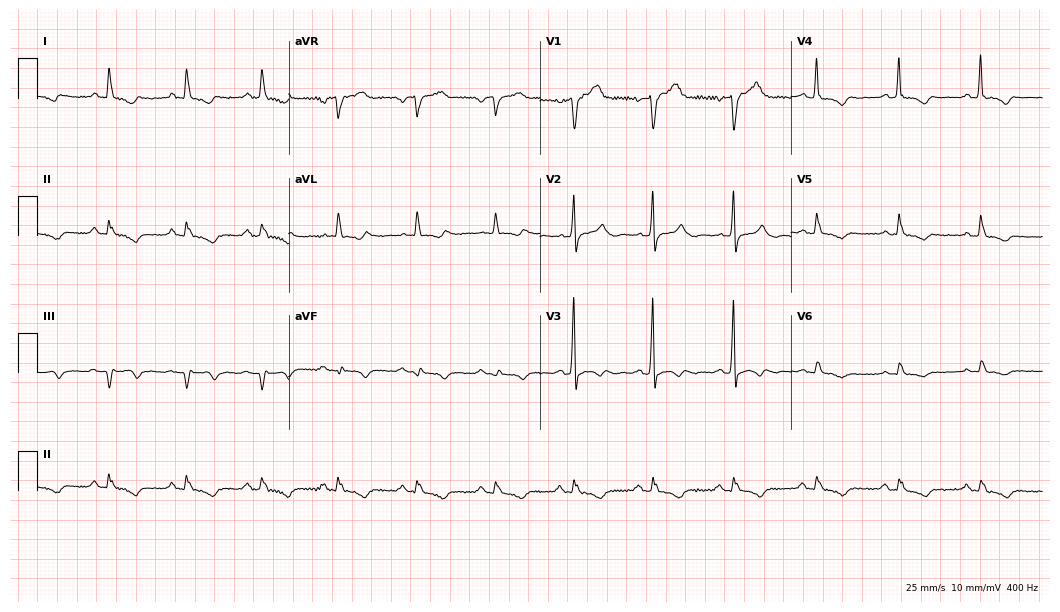
12-lead ECG from a male patient, 57 years old. Screened for six findings — first-degree AV block, right bundle branch block, left bundle branch block, sinus bradycardia, atrial fibrillation, sinus tachycardia — none is recorded. Findings outside these six are not listed.